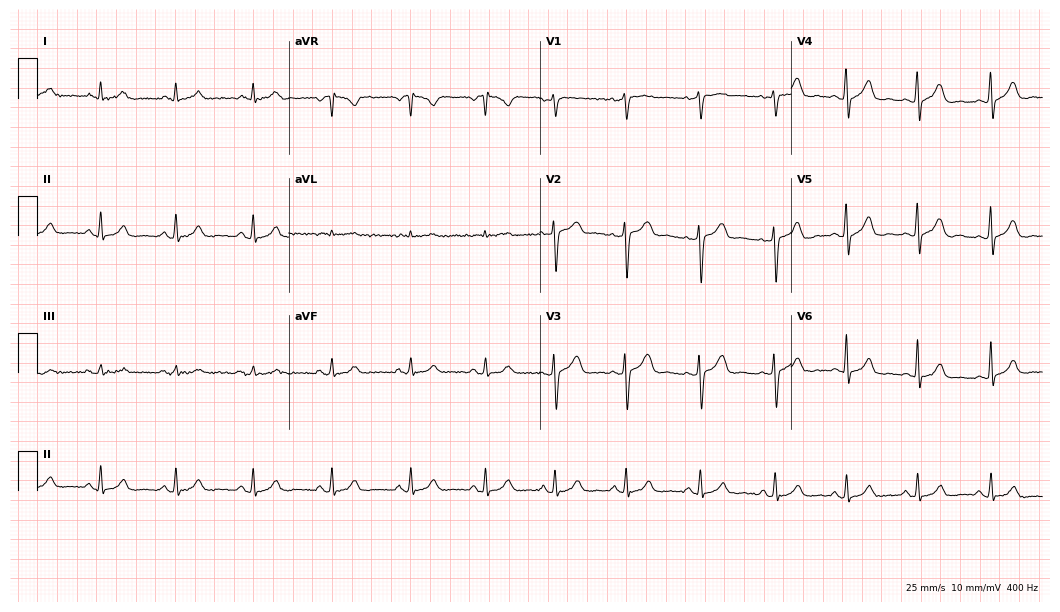
Electrocardiogram (10.2-second recording at 400 Hz), a 39-year-old female patient. Overall reading on record: normal ECG.